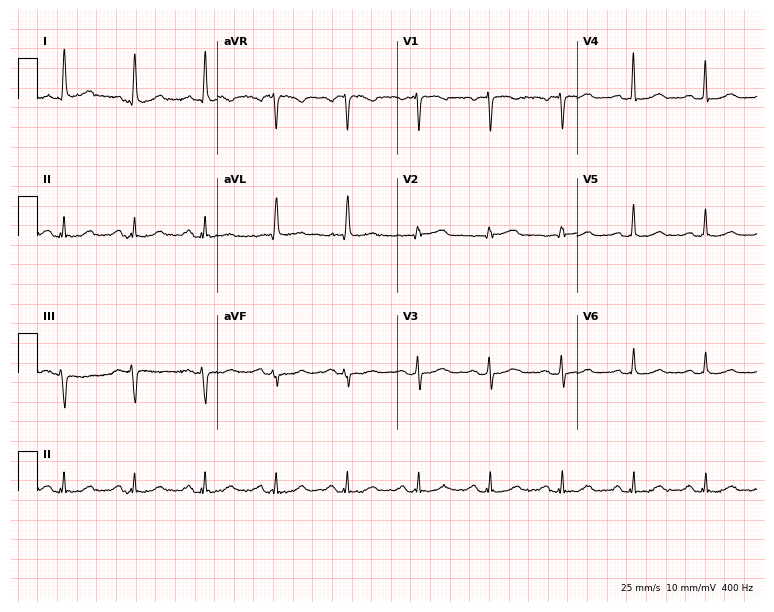
Standard 12-lead ECG recorded from a 74-year-old female. None of these six findings is recorded: first-degree AV block, right bundle branch block, left bundle branch block, sinus bradycardia, atrial fibrillation, sinus tachycardia. Other findings, if any, are not listed.